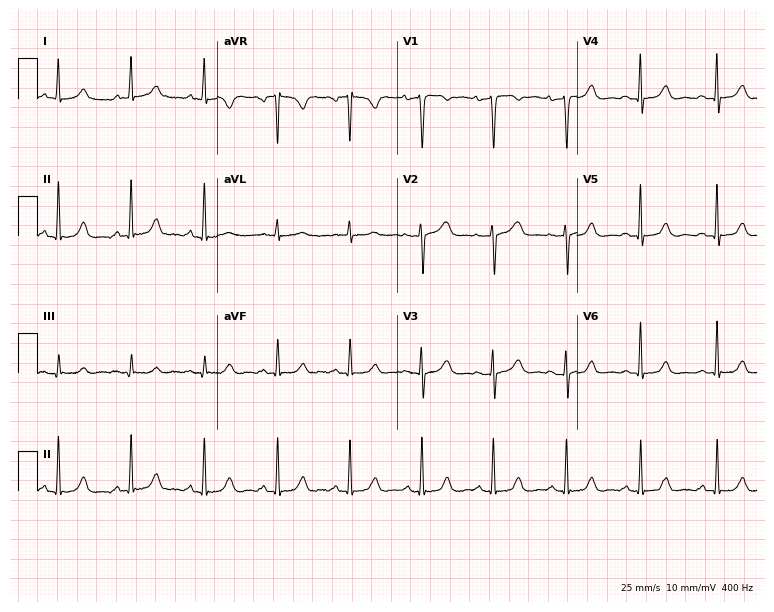
12-lead ECG (7.3-second recording at 400 Hz) from a 50-year-old woman. Labelled as a normal ECG.